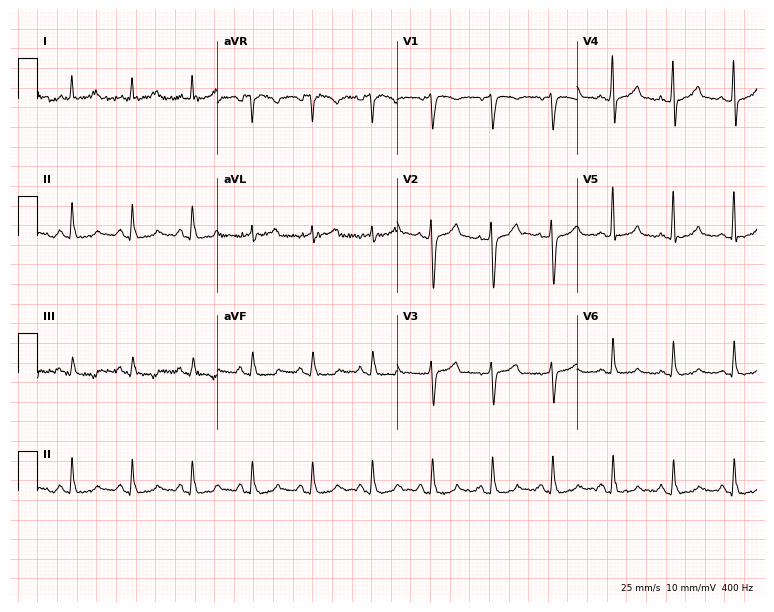
12-lead ECG from a 55-year-old male patient. Recorded interpretation: within normal limits.